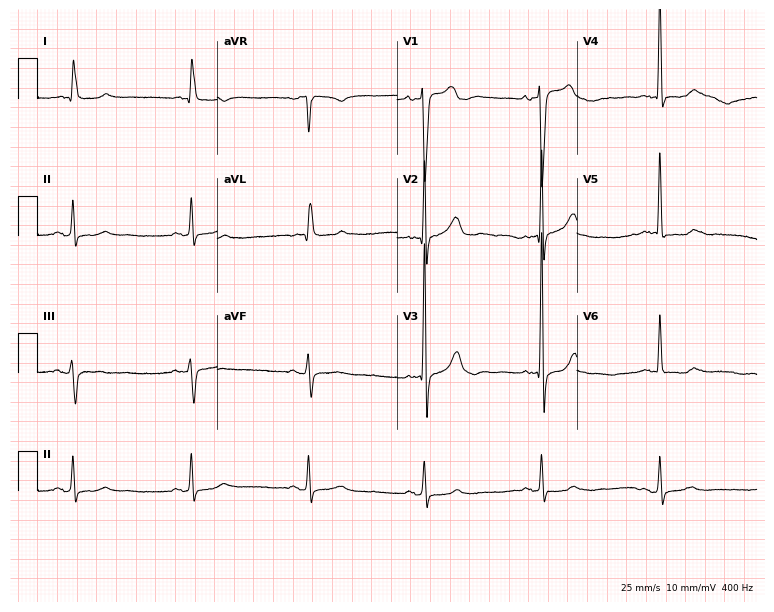
12-lead ECG (7.3-second recording at 400 Hz) from a 72-year-old man. Screened for six findings — first-degree AV block, right bundle branch block (RBBB), left bundle branch block (LBBB), sinus bradycardia, atrial fibrillation (AF), sinus tachycardia — none is recorded. Other findings, if any, are not listed.